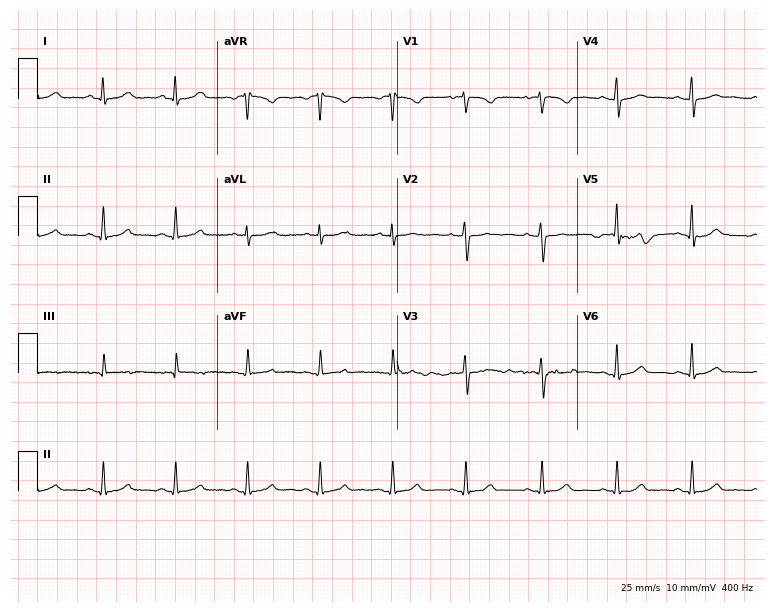
Resting 12-lead electrocardiogram (7.3-second recording at 400 Hz). Patient: a 47-year-old female. Read as a normal ECG.